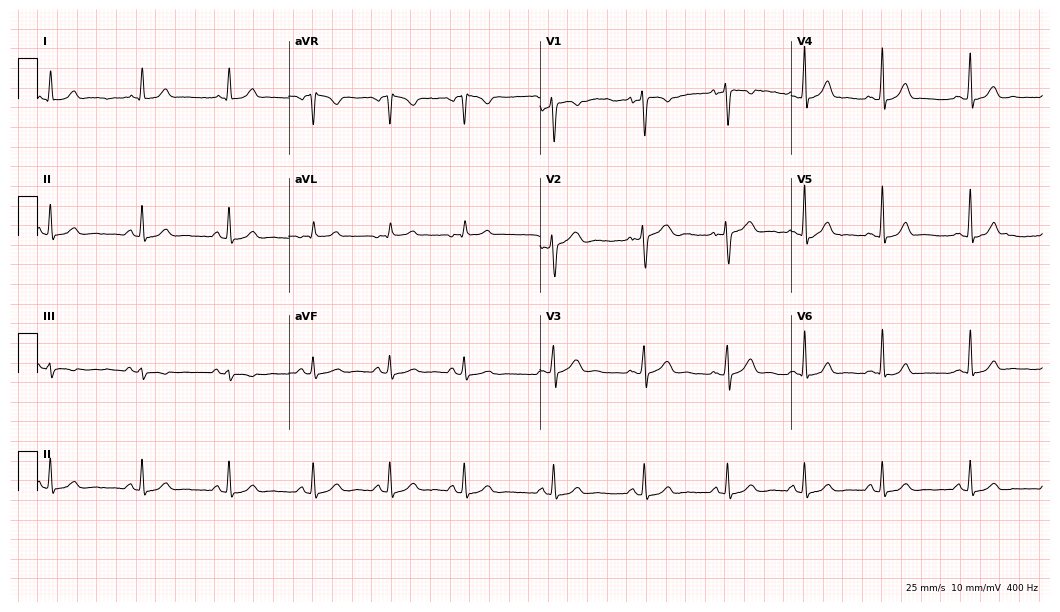
Resting 12-lead electrocardiogram. Patient: a female, 23 years old. Read as a normal ECG.